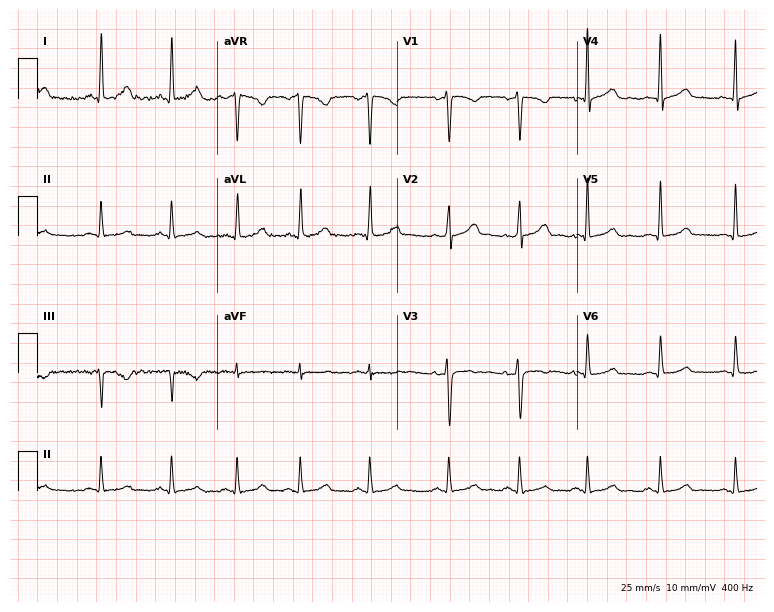
12-lead ECG from a female patient, 38 years old. Recorded interpretation: within normal limits.